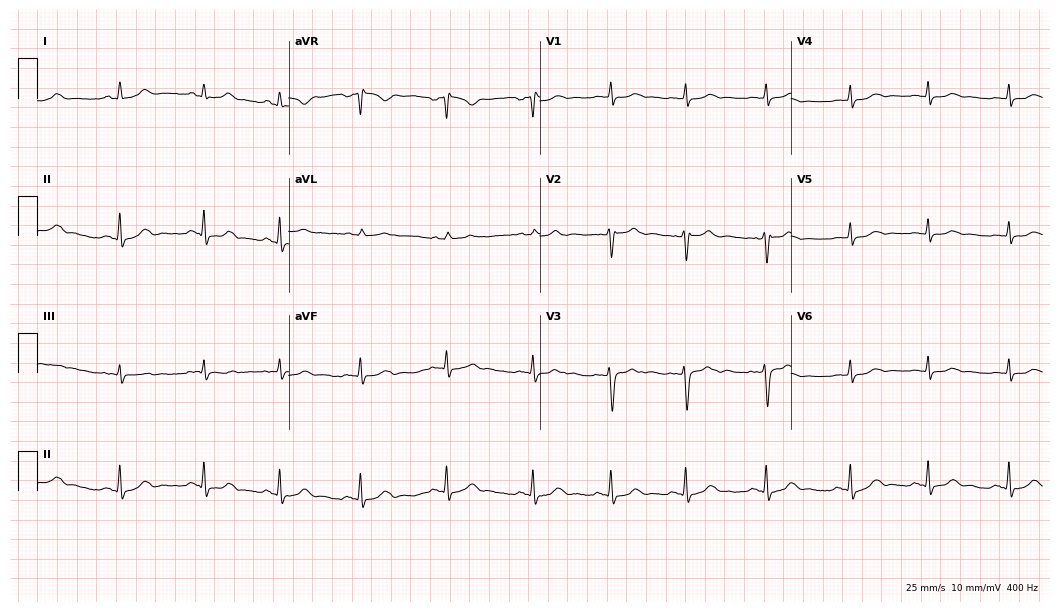
Electrocardiogram (10.2-second recording at 400 Hz), a female patient, 22 years old. Overall reading on record: normal ECG.